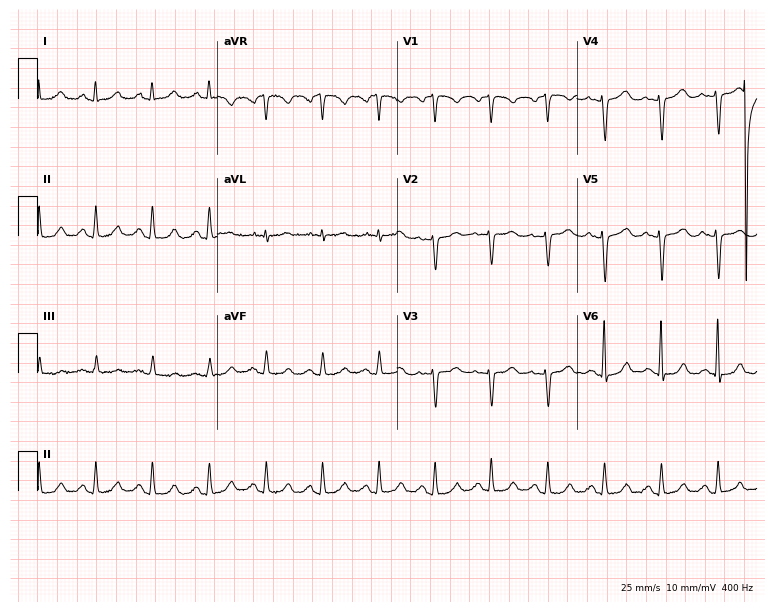
Standard 12-lead ECG recorded from a 51-year-old female (7.3-second recording at 400 Hz). The tracing shows sinus tachycardia (a sinus rate of 100 beats per minute or more).